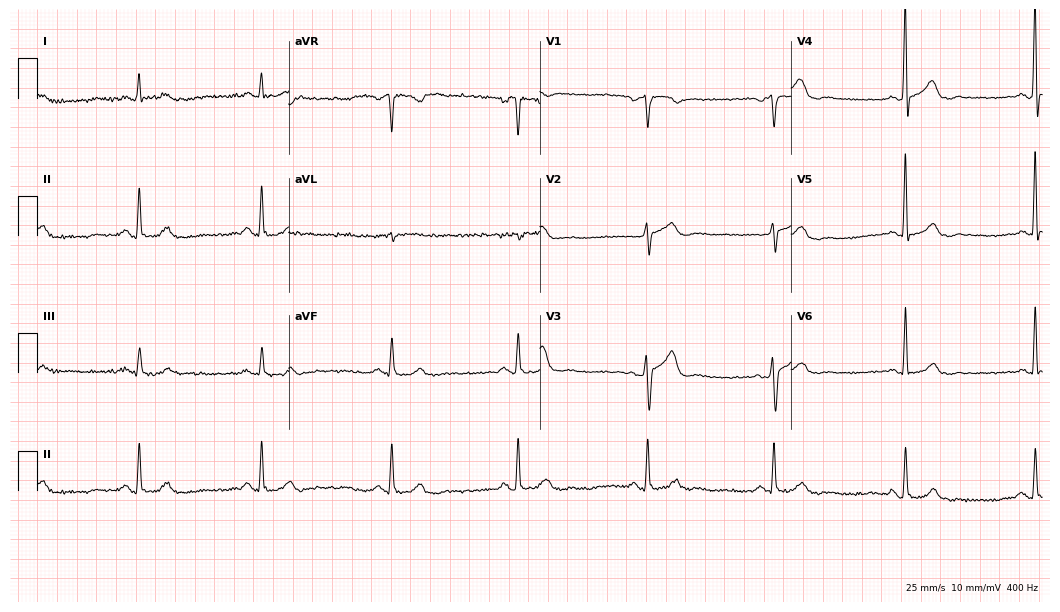
Electrocardiogram (10.2-second recording at 400 Hz), a male, 77 years old. Interpretation includes sinus bradycardia (a sinus rate of 50 beats per minute or less).